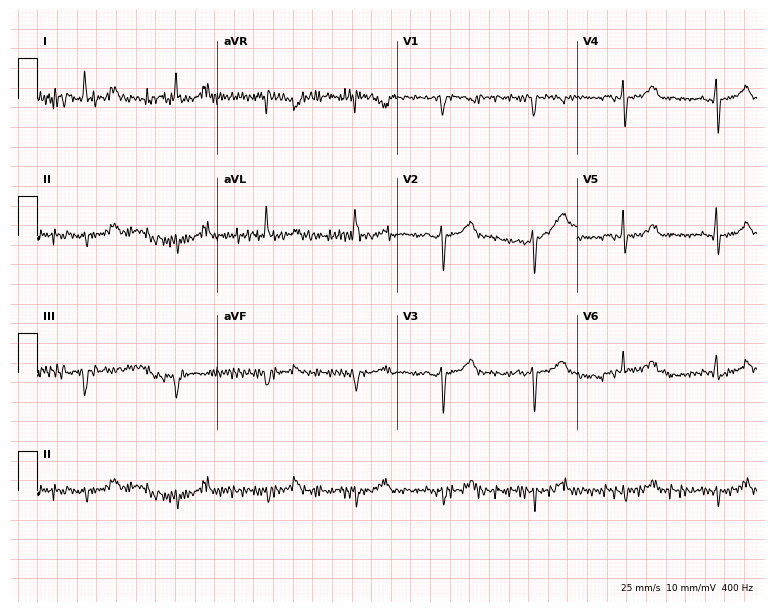
Resting 12-lead electrocardiogram. Patient: a male, 82 years old. None of these six findings is recorded: first-degree AV block, right bundle branch block (RBBB), left bundle branch block (LBBB), sinus bradycardia, atrial fibrillation (AF), sinus tachycardia.